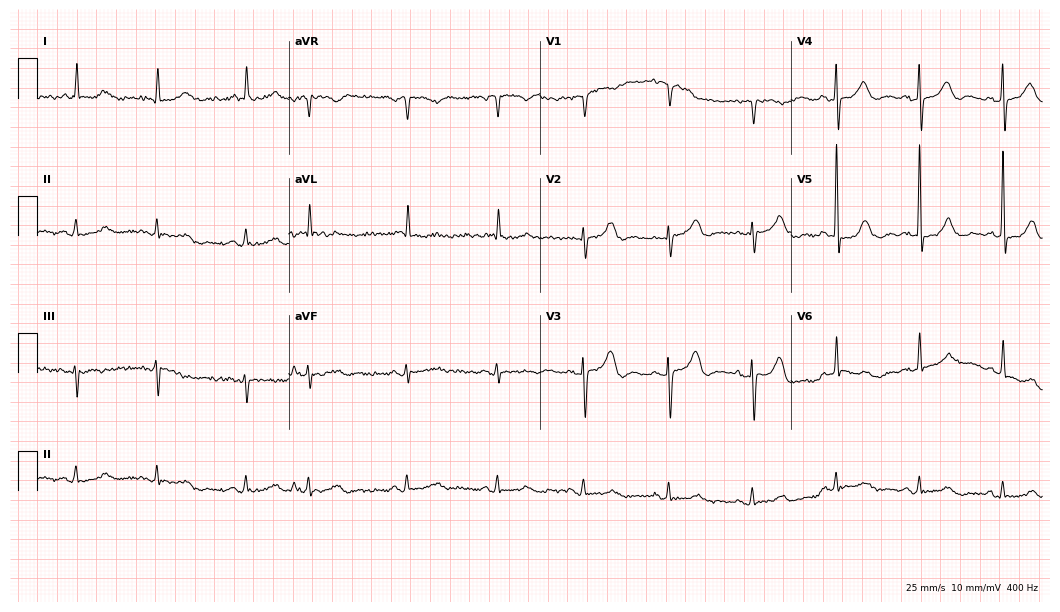
12-lead ECG from a woman, 84 years old. Screened for six findings — first-degree AV block, right bundle branch block (RBBB), left bundle branch block (LBBB), sinus bradycardia, atrial fibrillation (AF), sinus tachycardia — none is recorded.